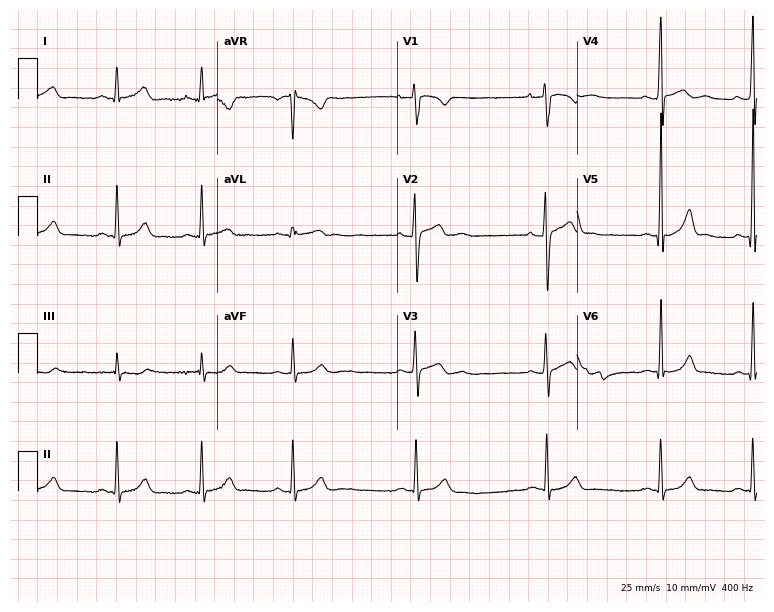
Standard 12-lead ECG recorded from an 18-year-old male (7.3-second recording at 400 Hz). Read as a normal ECG.